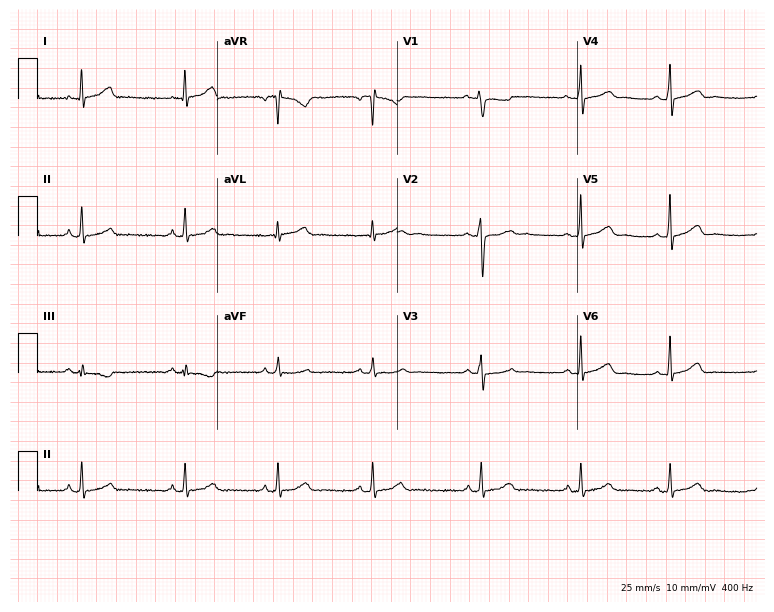
Resting 12-lead electrocardiogram. Patient: a 44-year-old female. Read as a normal ECG.